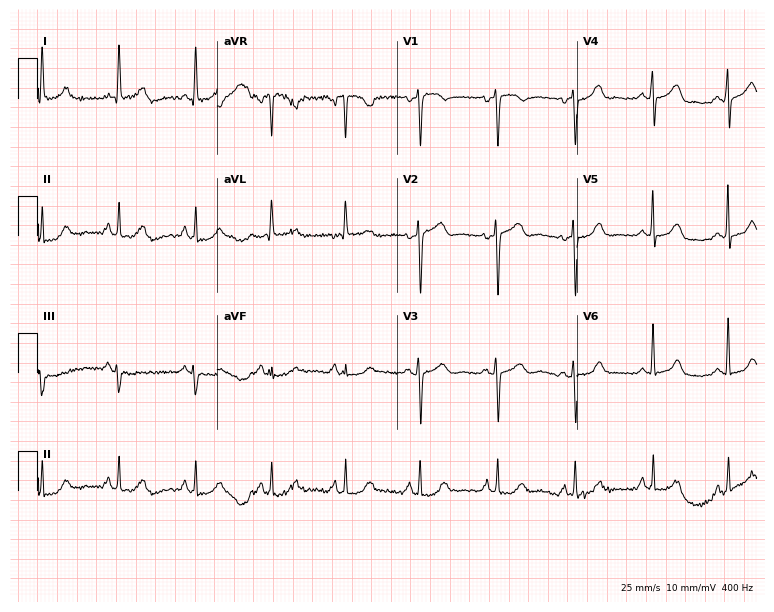
ECG (7.3-second recording at 400 Hz) — a 62-year-old woman. Screened for six findings — first-degree AV block, right bundle branch block, left bundle branch block, sinus bradycardia, atrial fibrillation, sinus tachycardia — none is recorded.